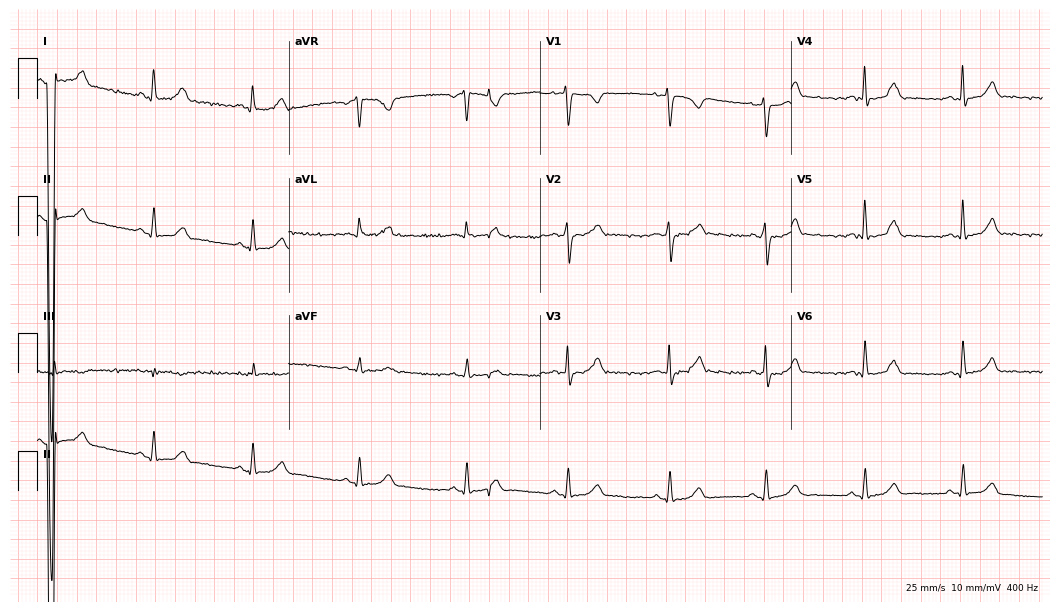
12-lead ECG from a 35-year-old female patient. Recorded interpretation: within normal limits.